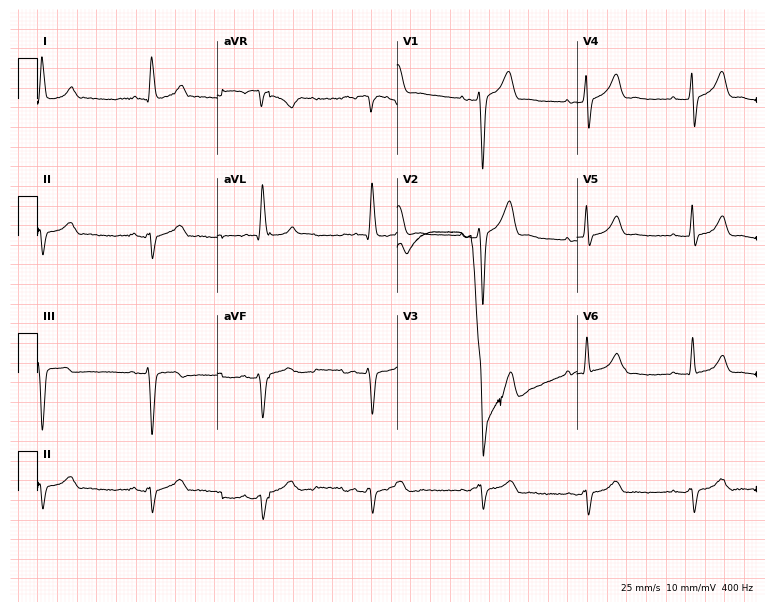
Electrocardiogram (7.3-second recording at 400 Hz), a man, 58 years old. Of the six screened findings (first-degree AV block, right bundle branch block, left bundle branch block, sinus bradycardia, atrial fibrillation, sinus tachycardia), none is recorded. Only these six findings were labelled.